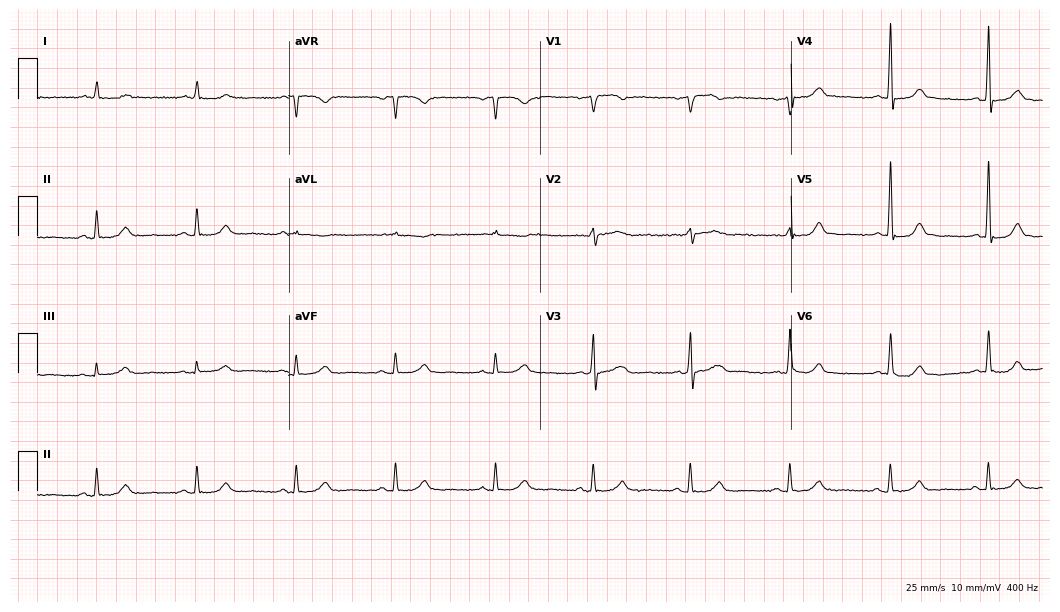
Resting 12-lead electrocardiogram. Patient: a man, 63 years old. Read as a normal ECG.